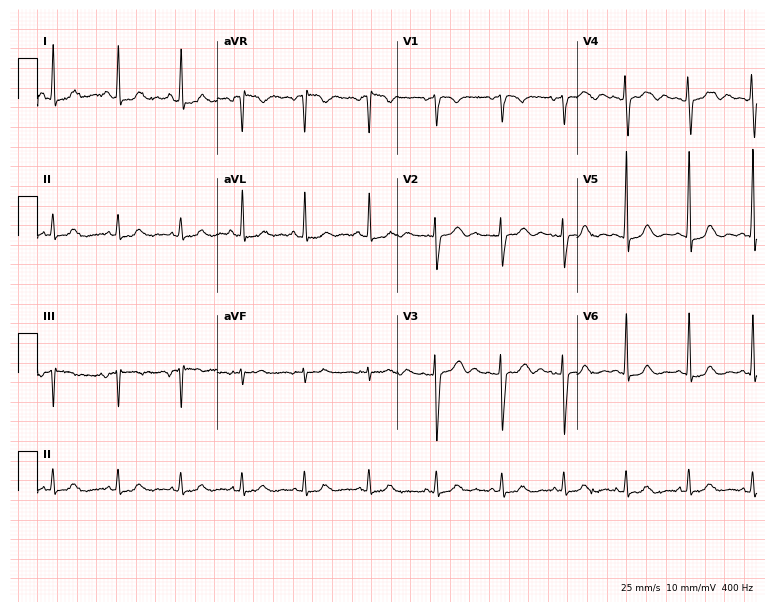
Standard 12-lead ECG recorded from a female, 29 years old. Read as a normal ECG.